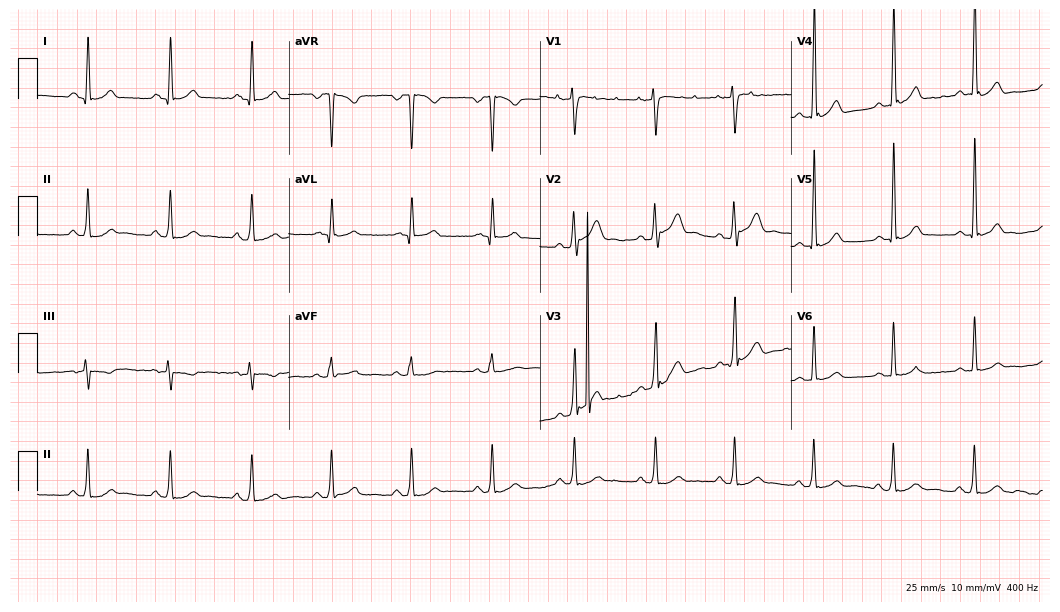
12-lead ECG from a male, 33 years old (10.2-second recording at 400 Hz). Recorded interpretation: within normal limits.